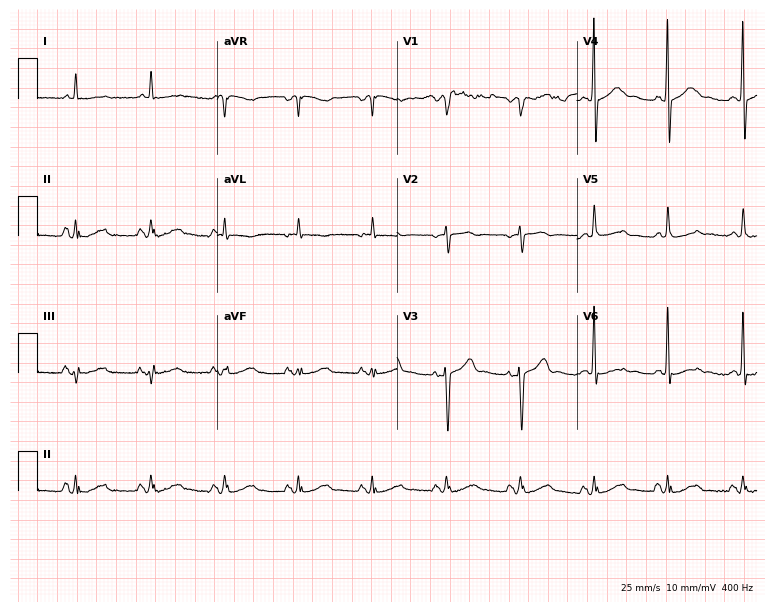
12-lead ECG from a 79-year-old male (7.3-second recording at 400 Hz). Recorded interpretation: within normal limits.